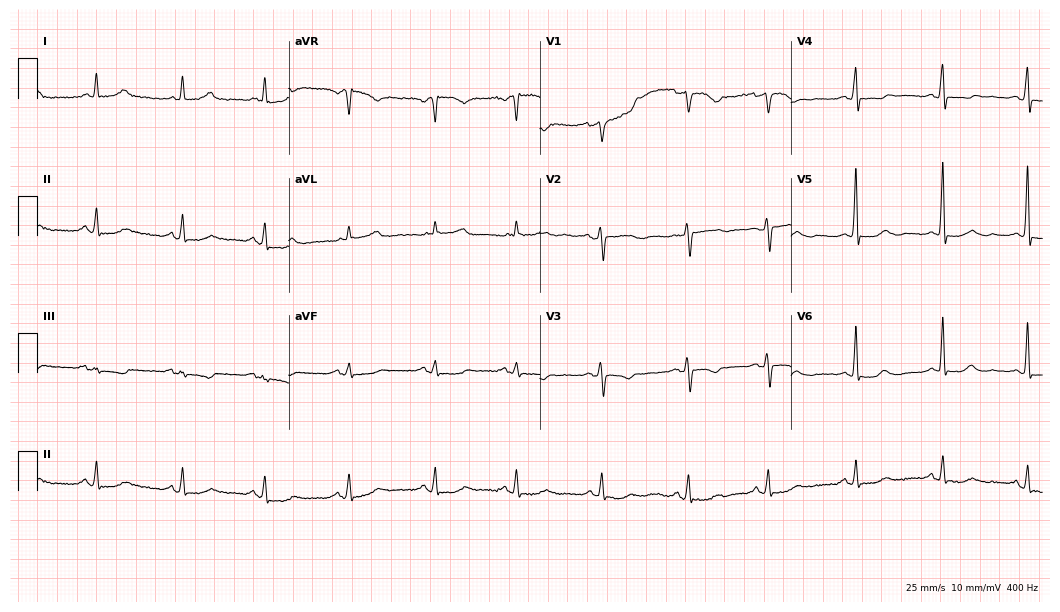
12-lead ECG from a female, 67 years old. No first-degree AV block, right bundle branch block, left bundle branch block, sinus bradycardia, atrial fibrillation or sinus tachycardia recorded for this tracing. Other findings, if any, are not listed.